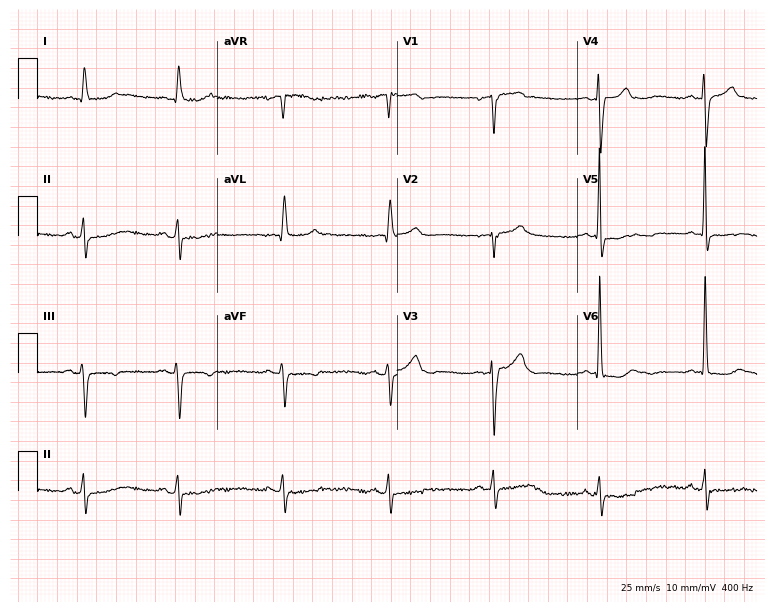
12-lead ECG from a 78-year-old male. Screened for six findings — first-degree AV block, right bundle branch block, left bundle branch block, sinus bradycardia, atrial fibrillation, sinus tachycardia — none is recorded. Other findings, if any, are not listed.